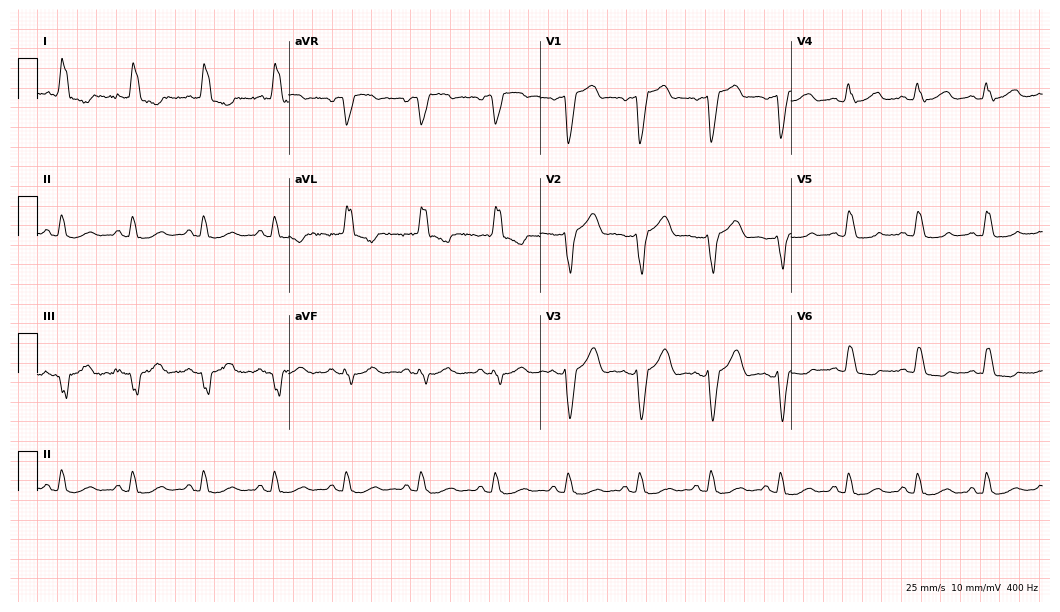
ECG — a 59-year-old female. Findings include left bundle branch block.